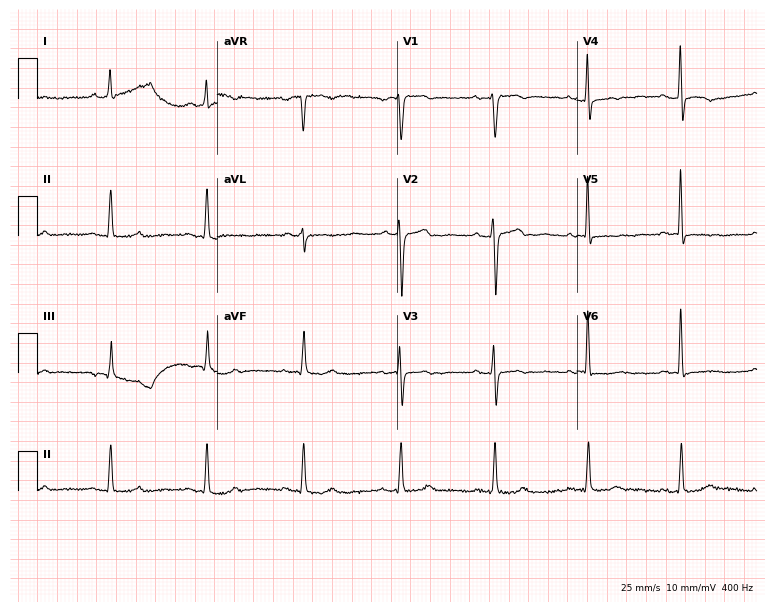
ECG — a 49-year-old woman. Screened for six findings — first-degree AV block, right bundle branch block, left bundle branch block, sinus bradycardia, atrial fibrillation, sinus tachycardia — none is recorded. Other findings, if any, are not listed.